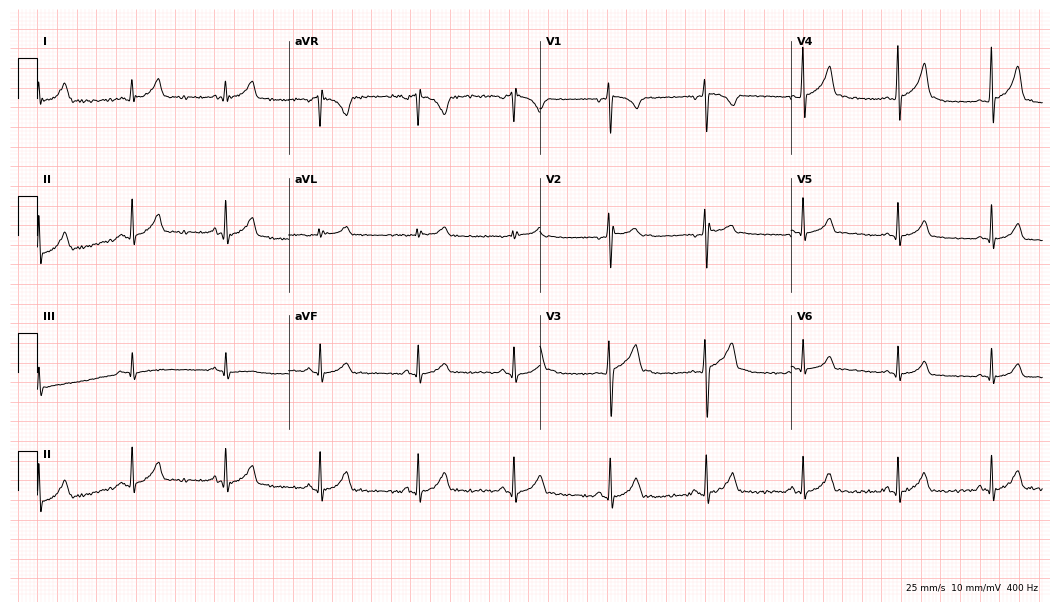
Resting 12-lead electrocardiogram (10.2-second recording at 400 Hz). Patient: a male, 18 years old. Read as a normal ECG.